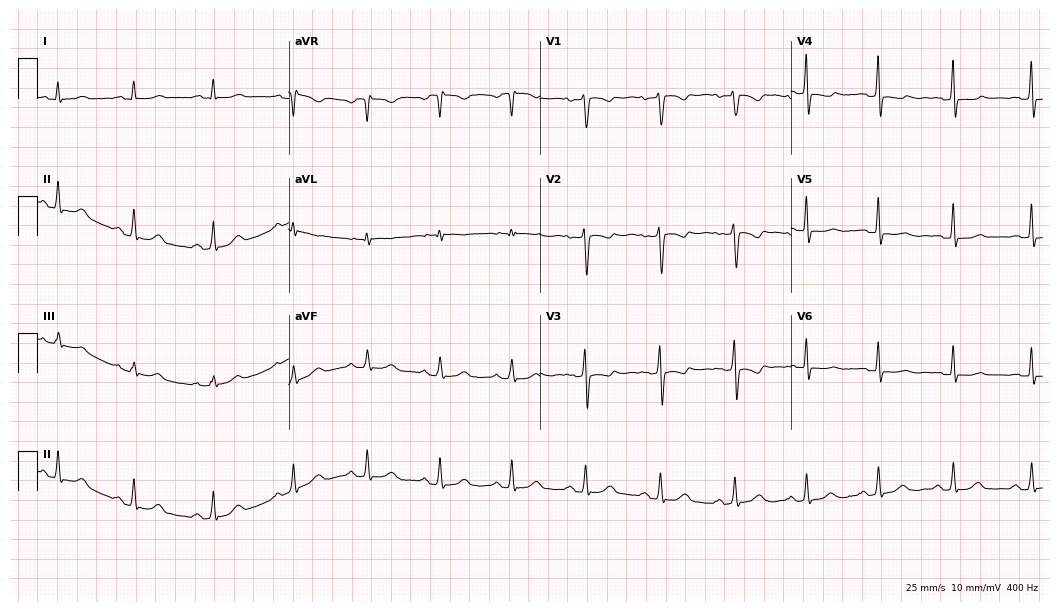
Standard 12-lead ECG recorded from a female patient, 42 years old. None of these six findings is recorded: first-degree AV block, right bundle branch block (RBBB), left bundle branch block (LBBB), sinus bradycardia, atrial fibrillation (AF), sinus tachycardia.